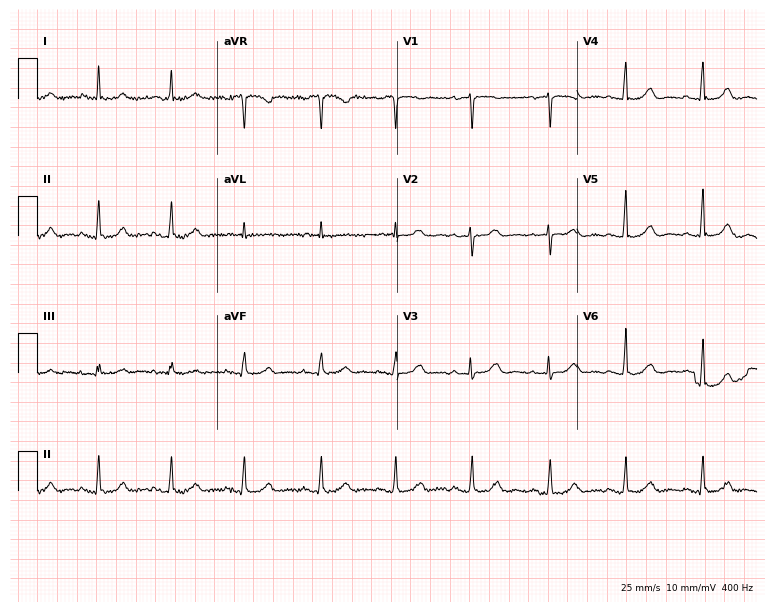
12-lead ECG from a woman, 74 years old. No first-degree AV block, right bundle branch block, left bundle branch block, sinus bradycardia, atrial fibrillation or sinus tachycardia recorded for this tracing. Only these six findings were labelled.